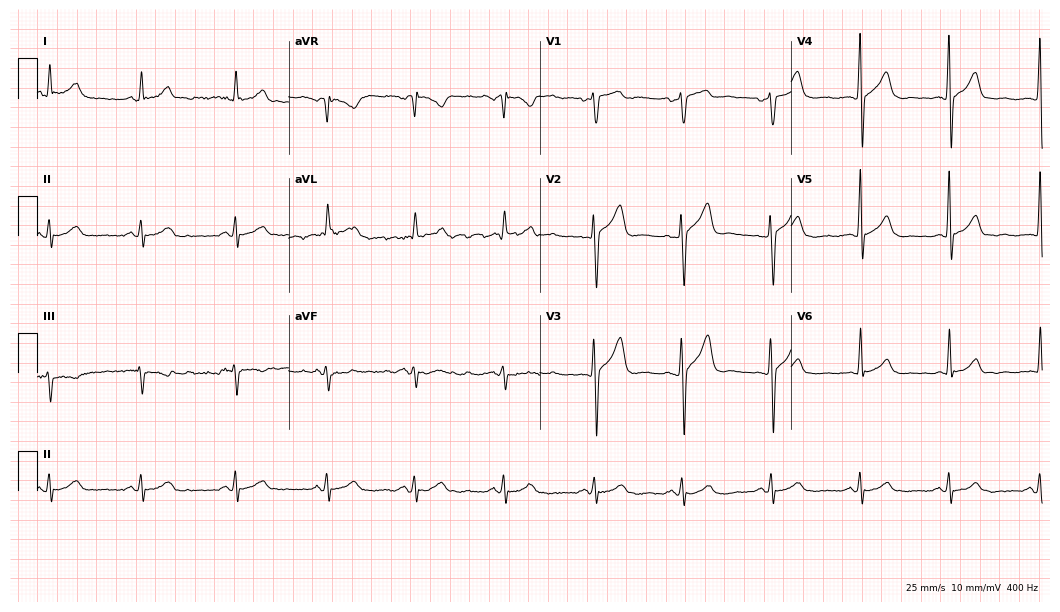
12-lead ECG from a 72-year-old male patient. No first-degree AV block, right bundle branch block, left bundle branch block, sinus bradycardia, atrial fibrillation or sinus tachycardia recorded for this tracing.